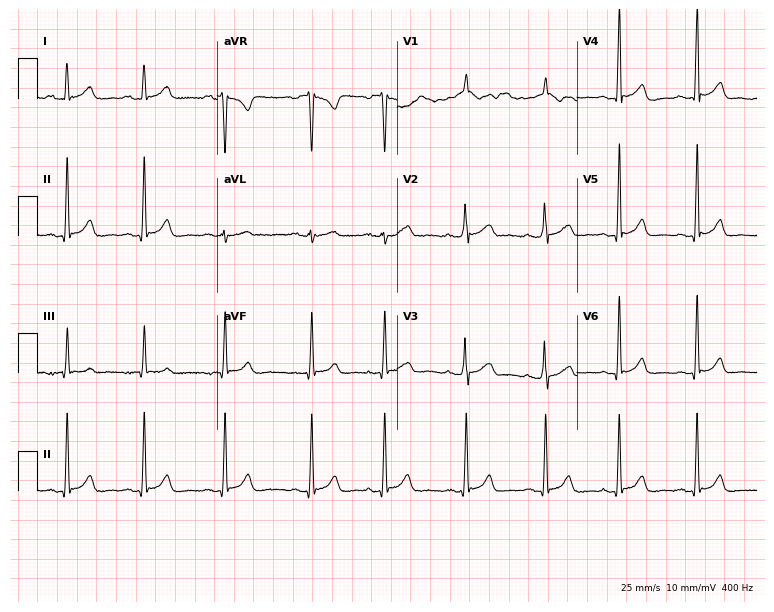
Standard 12-lead ECG recorded from a 25-year-old female (7.3-second recording at 400 Hz). None of these six findings is recorded: first-degree AV block, right bundle branch block, left bundle branch block, sinus bradycardia, atrial fibrillation, sinus tachycardia.